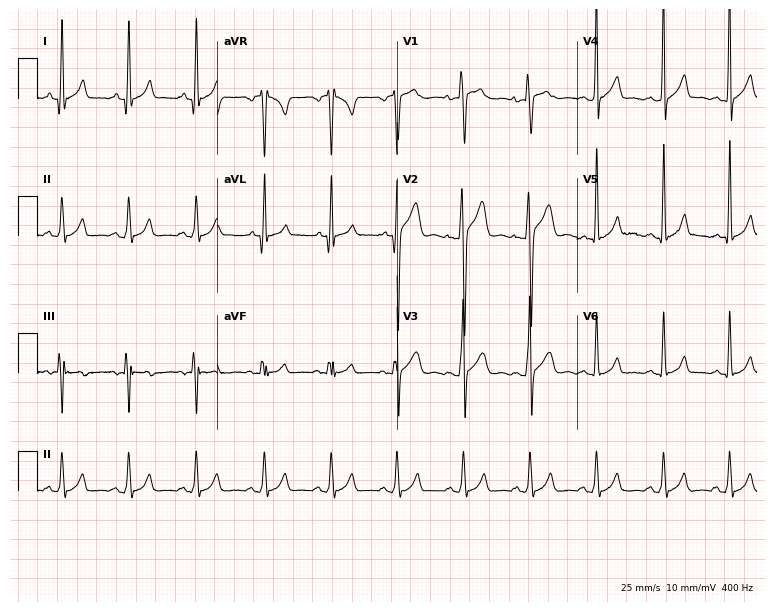
12-lead ECG from a 17-year-old man. Labelled as a normal ECG.